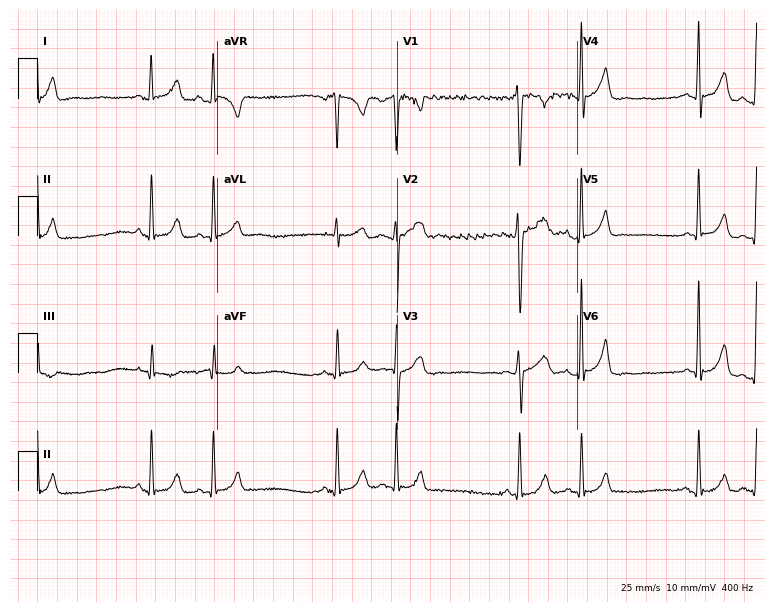
Standard 12-lead ECG recorded from a male, 23 years old. None of these six findings is recorded: first-degree AV block, right bundle branch block, left bundle branch block, sinus bradycardia, atrial fibrillation, sinus tachycardia. Findings outside these six are not listed.